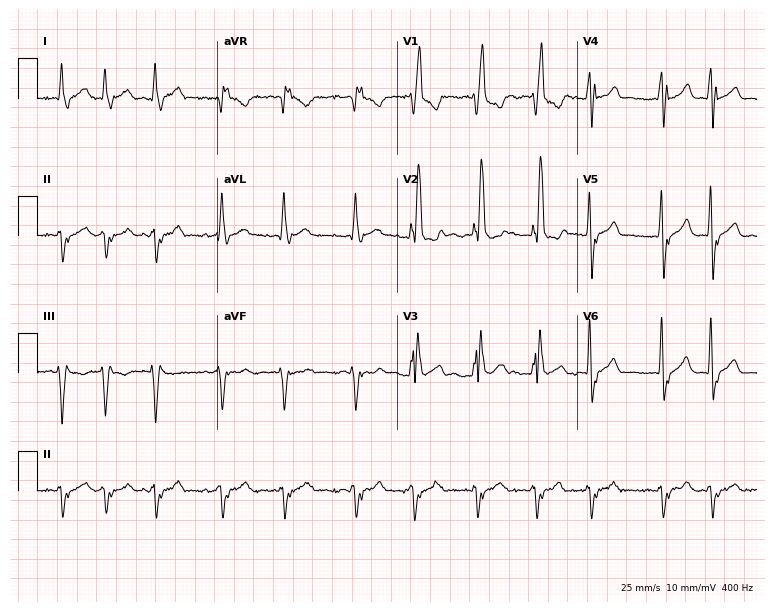
Resting 12-lead electrocardiogram. Patient: a 62-year-old male. The tracing shows right bundle branch block, atrial fibrillation.